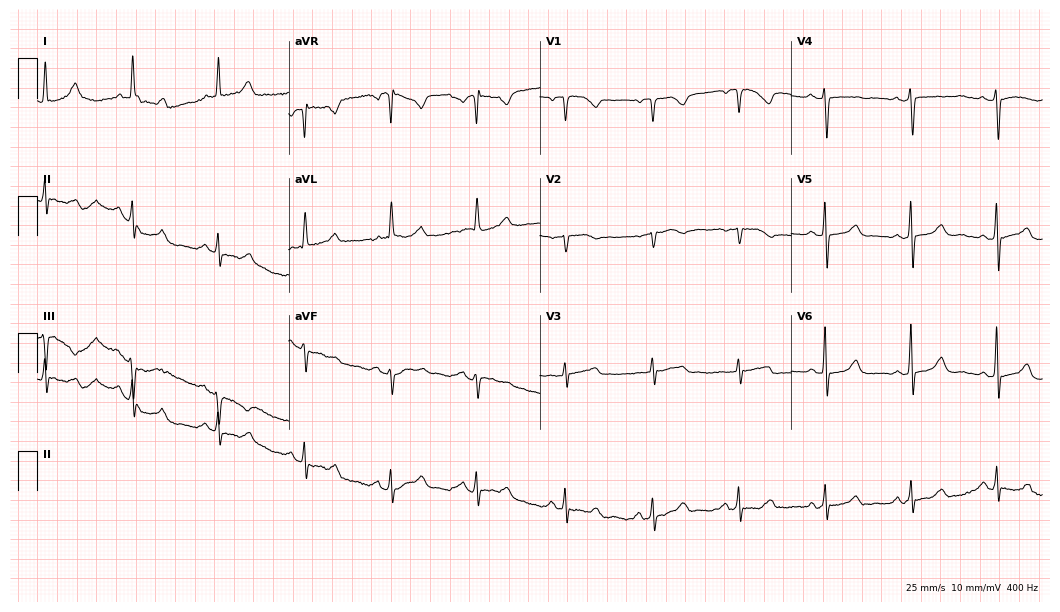
ECG — a female, 61 years old. Screened for six findings — first-degree AV block, right bundle branch block (RBBB), left bundle branch block (LBBB), sinus bradycardia, atrial fibrillation (AF), sinus tachycardia — none is recorded.